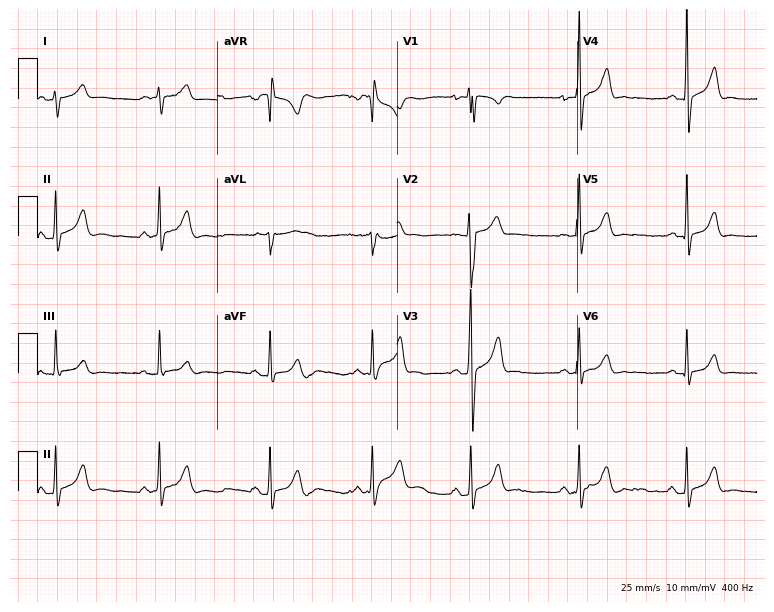
12-lead ECG from an 18-year-old male (7.3-second recording at 400 Hz). Recorded interpretation: within normal limits.